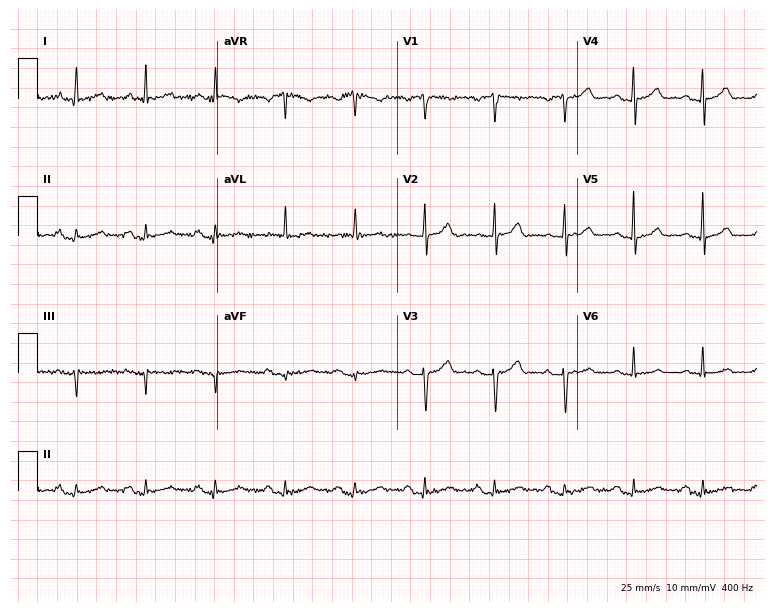
12-lead ECG (7.3-second recording at 400 Hz) from an 81-year-old man. Labelled as a normal ECG.